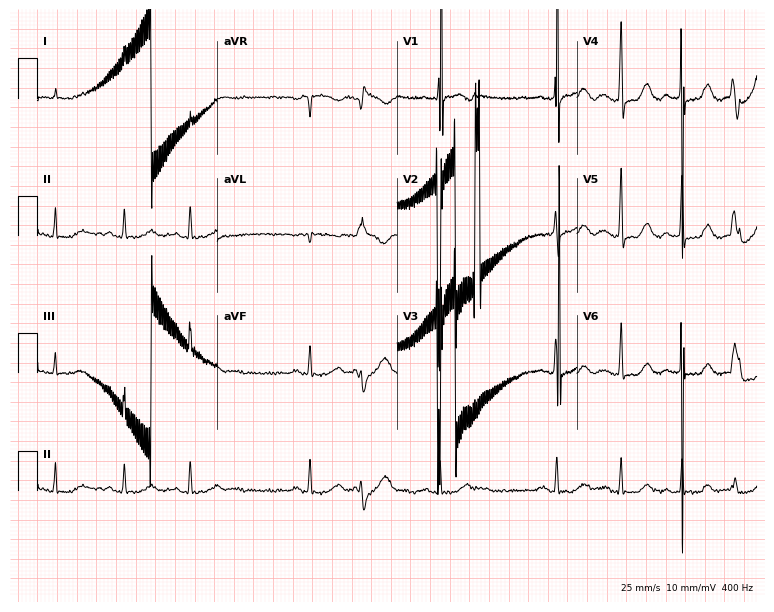
ECG (7.3-second recording at 400 Hz) — an 80-year-old woman. Findings include atrial fibrillation (AF).